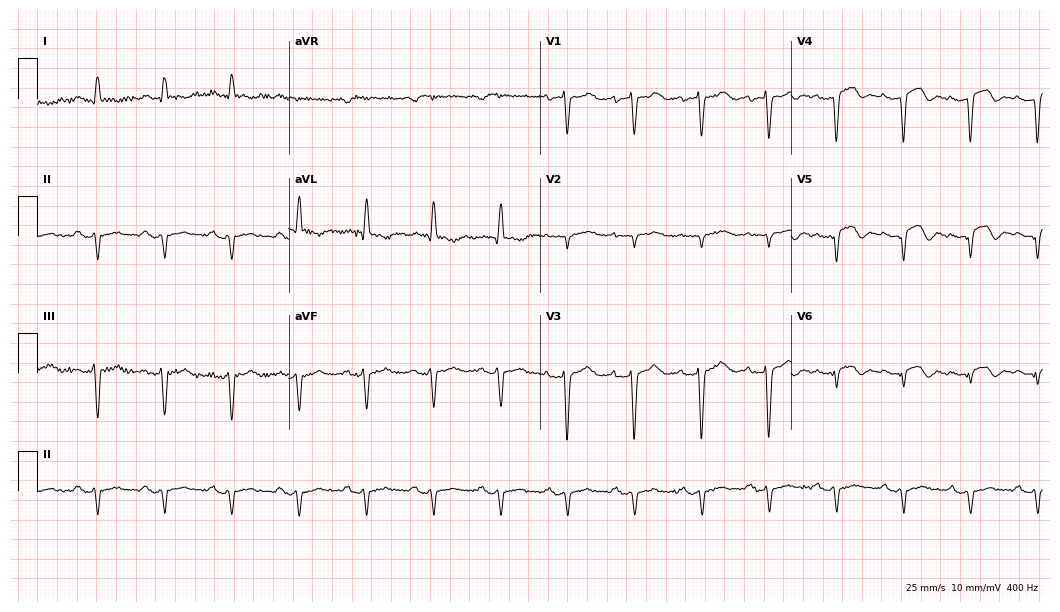
ECG — a woman, 78 years old. Screened for six findings — first-degree AV block, right bundle branch block, left bundle branch block, sinus bradycardia, atrial fibrillation, sinus tachycardia — none is recorded.